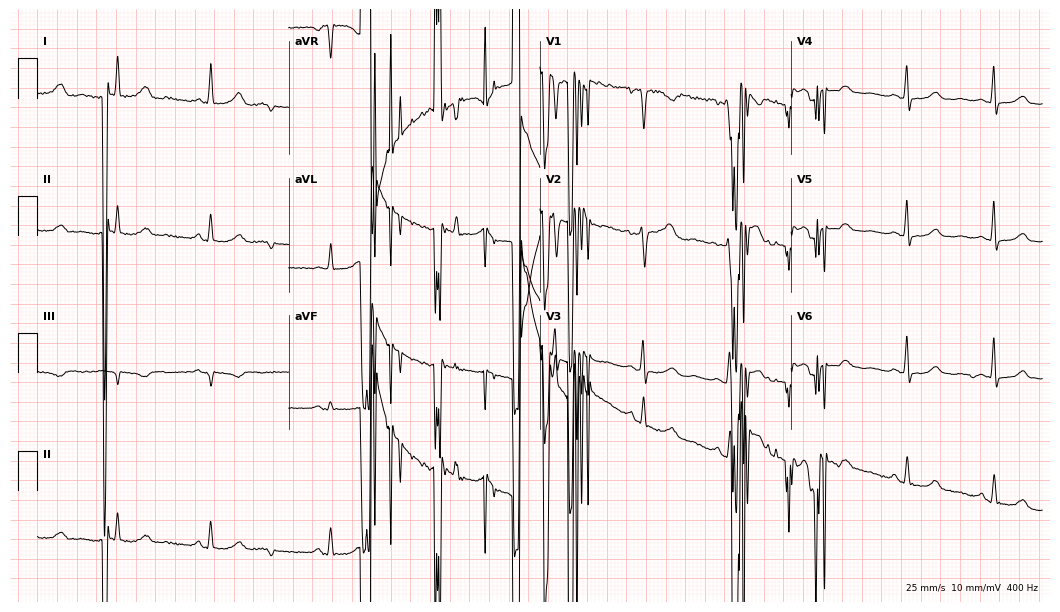
12-lead ECG from a 56-year-old woman. No first-degree AV block, right bundle branch block, left bundle branch block, sinus bradycardia, atrial fibrillation or sinus tachycardia recorded for this tracing. Only these six findings were labelled.